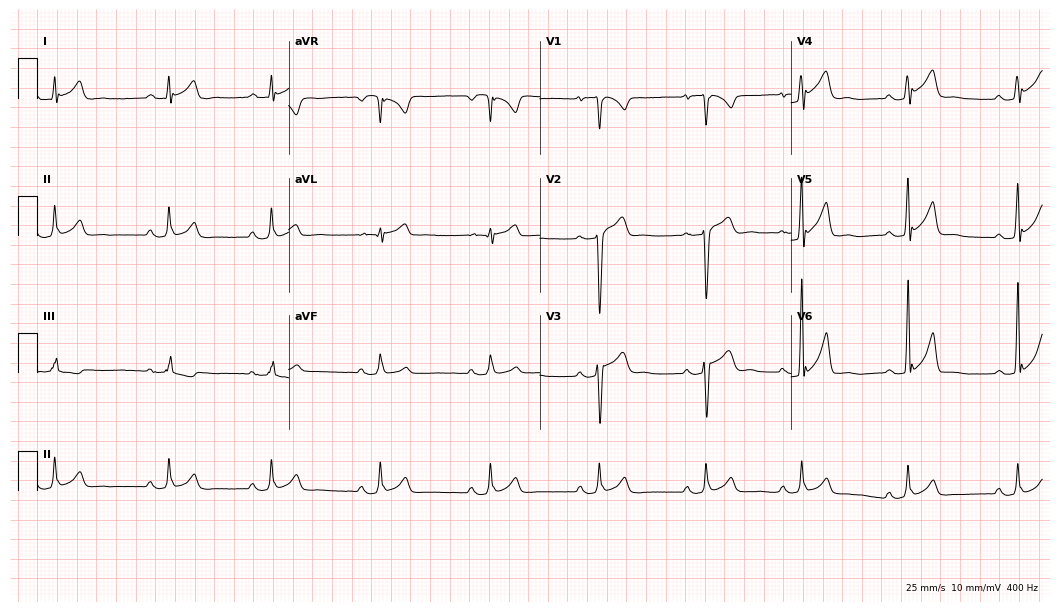
12-lead ECG from a 21-year-old male patient. Recorded interpretation: within normal limits.